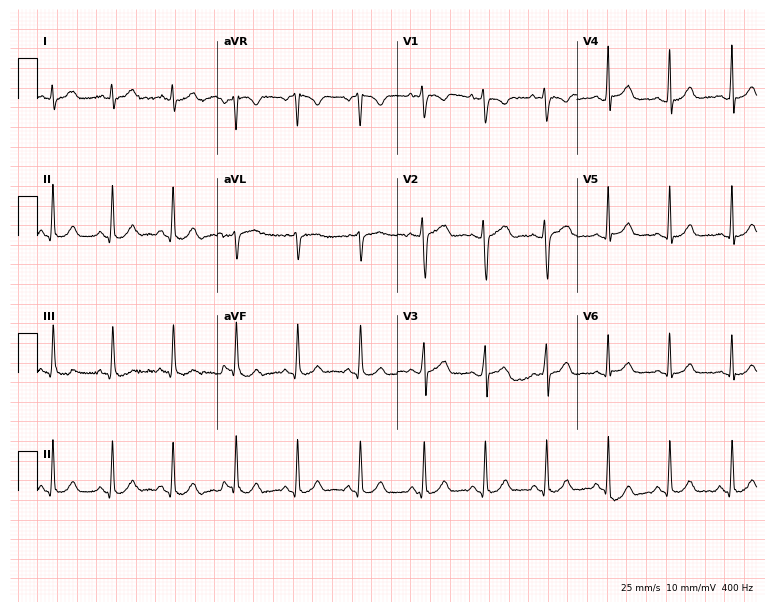
12-lead ECG from a 21-year-old female (7.3-second recording at 400 Hz). Recorded interpretation: within normal limits.